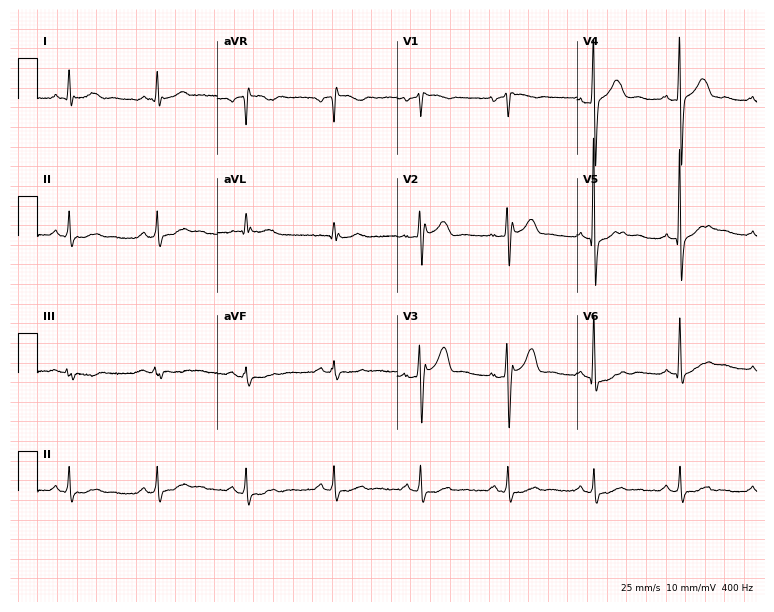
12-lead ECG from a 65-year-old man (7.3-second recording at 400 Hz). No first-degree AV block, right bundle branch block, left bundle branch block, sinus bradycardia, atrial fibrillation or sinus tachycardia recorded for this tracing.